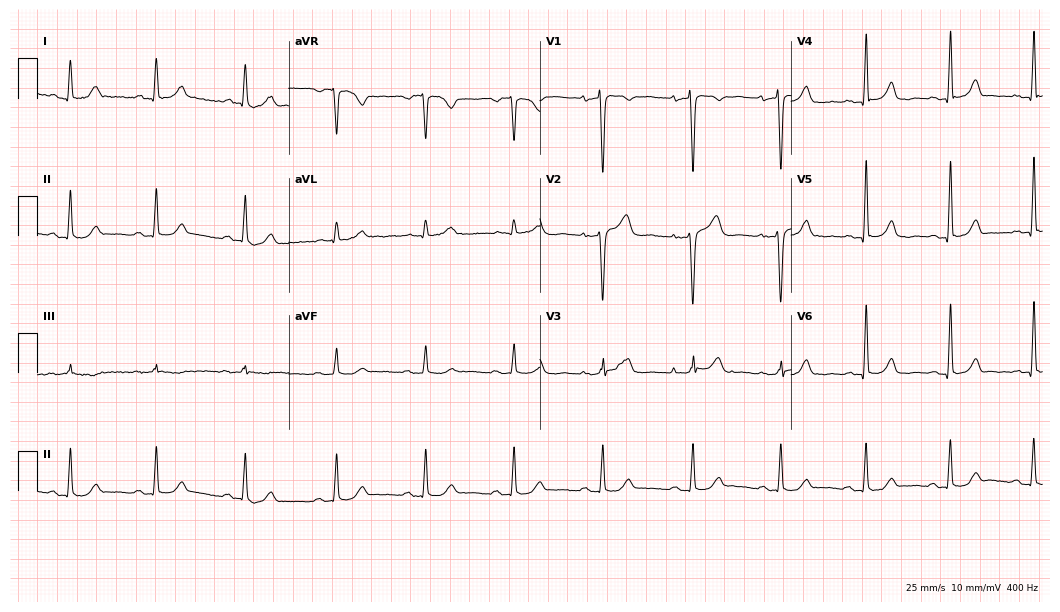
Electrocardiogram (10.2-second recording at 400 Hz), a 65-year-old woman. Overall reading on record: normal ECG.